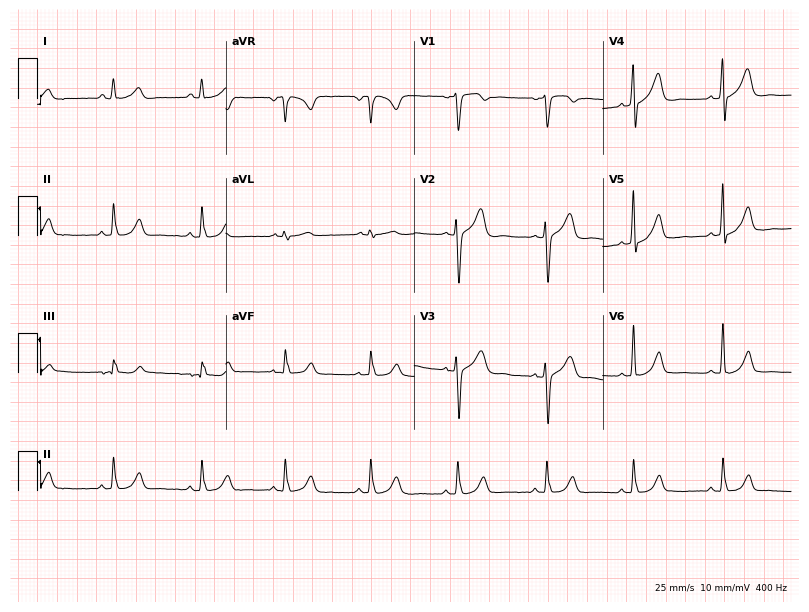
Electrocardiogram, a 43-year-old male. Overall reading on record: normal ECG.